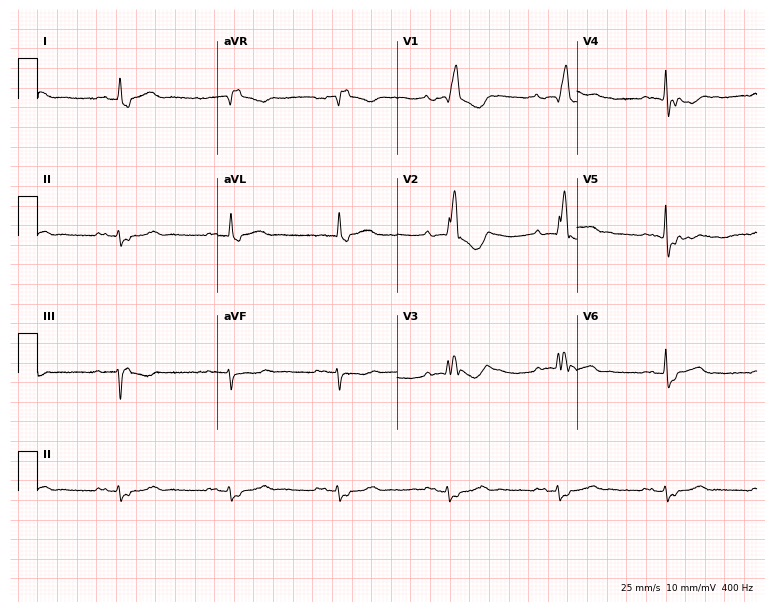
Resting 12-lead electrocardiogram. Patient: a male, 77 years old. The tracing shows first-degree AV block, right bundle branch block.